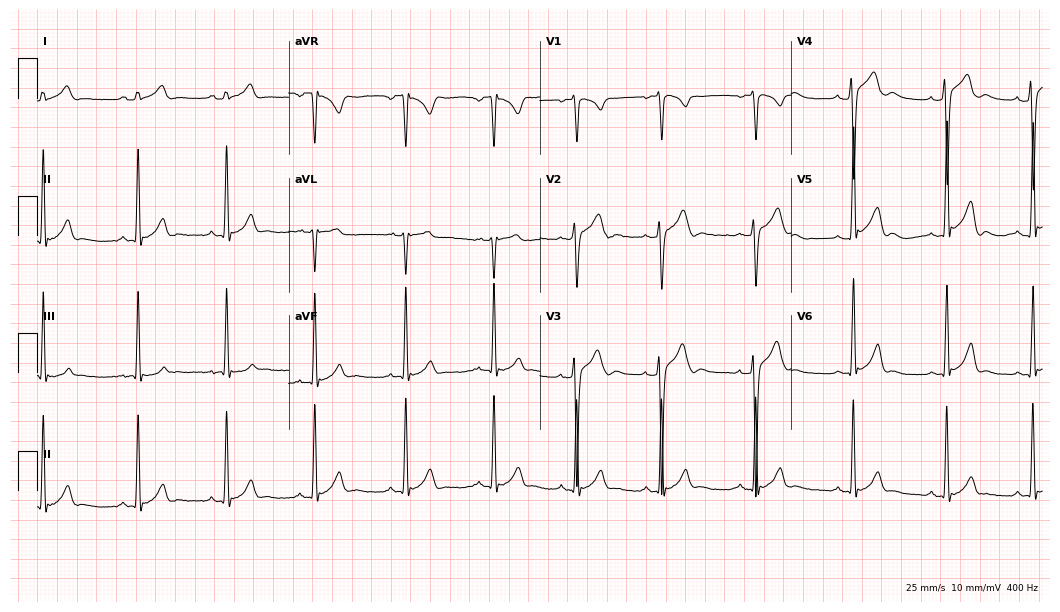
Resting 12-lead electrocardiogram (10.2-second recording at 400 Hz). Patient: a 20-year-old male. Read as a normal ECG.